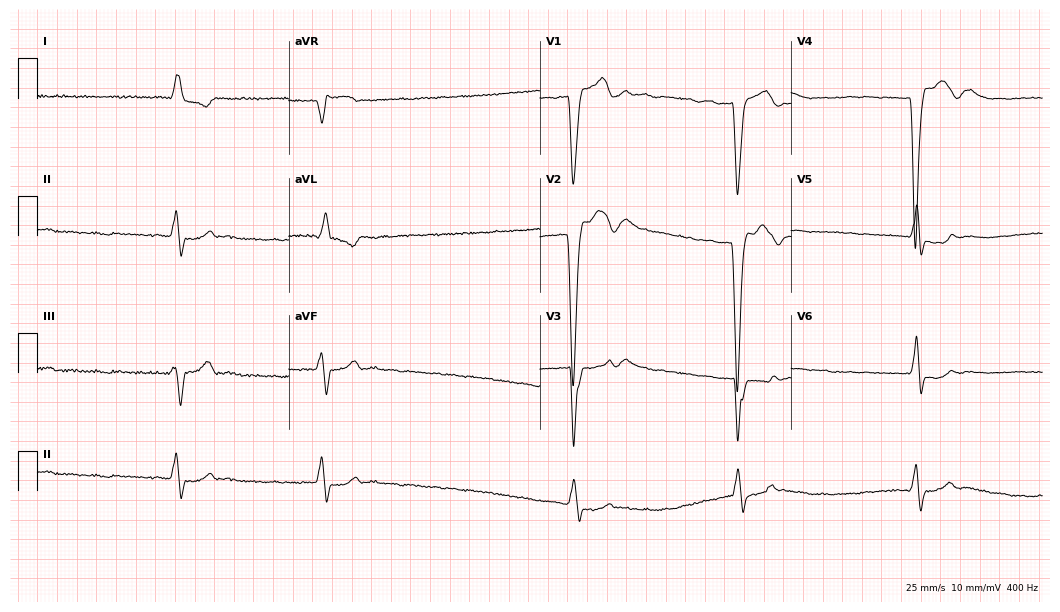
12-lead ECG from a 71-year-old male patient (10.2-second recording at 400 Hz). Shows left bundle branch block, atrial fibrillation.